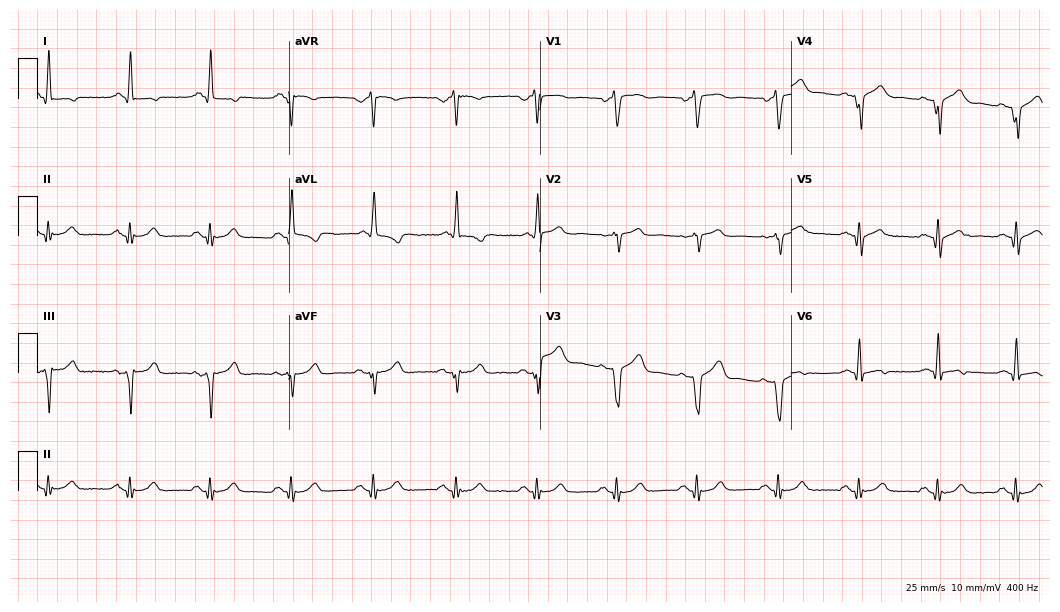
12-lead ECG (10.2-second recording at 400 Hz) from a man, 74 years old. Screened for six findings — first-degree AV block, right bundle branch block, left bundle branch block, sinus bradycardia, atrial fibrillation, sinus tachycardia — none is recorded. Only these six findings were labelled.